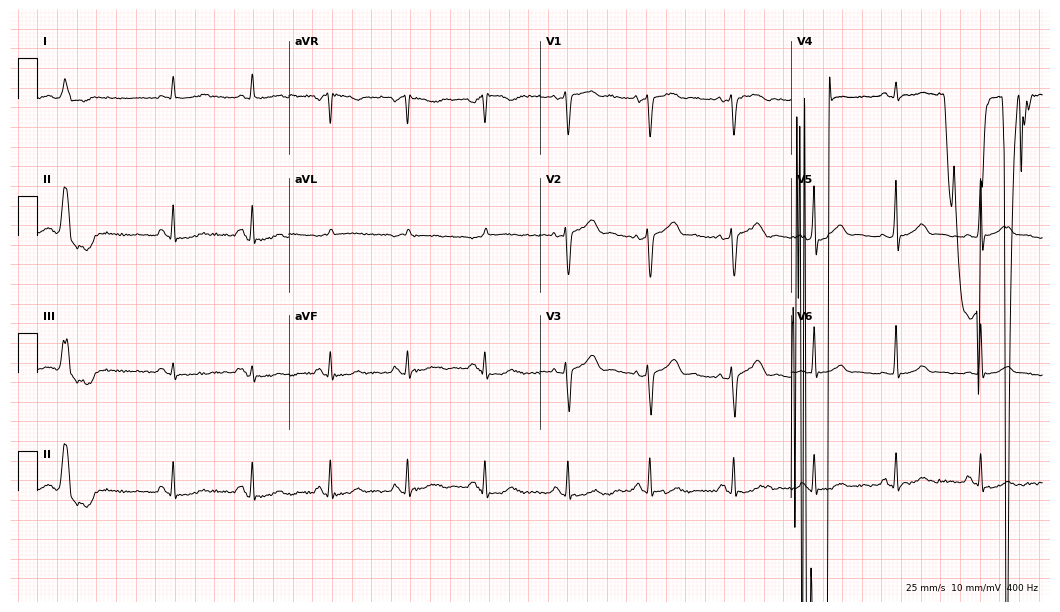
Resting 12-lead electrocardiogram. Patient: a man, 67 years old. None of these six findings is recorded: first-degree AV block, right bundle branch block (RBBB), left bundle branch block (LBBB), sinus bradycardia, atrial fibrillation (AF), sinus tachycardia. Only these six findings were labelled.